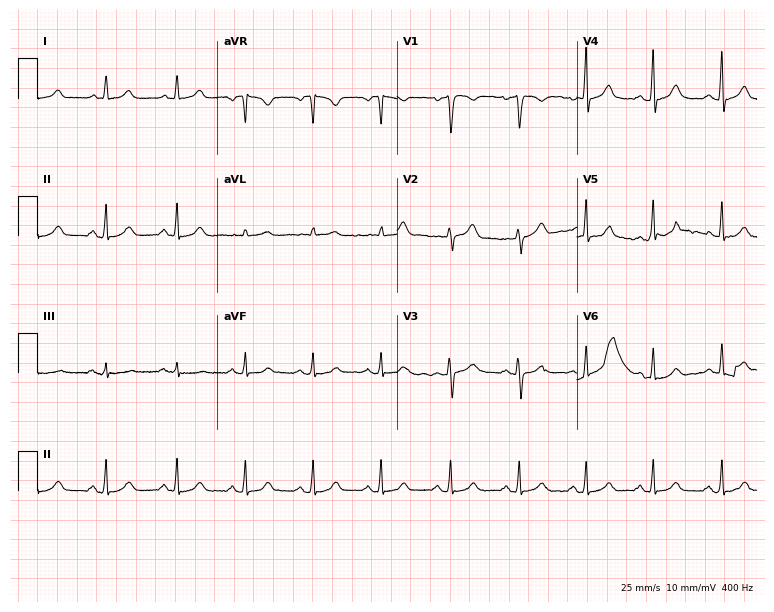
Resting 12-lead electrocardiogram. Patient: a female, 39 years old. Read as a normal ECG.